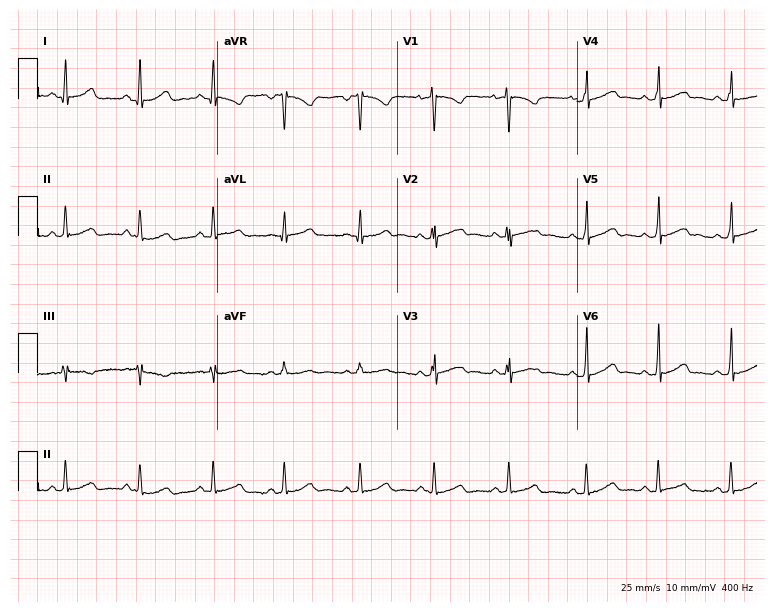
Resting 12-lead electrocardiogram (7.3-second recording at 400 Hz). Patient: a 20-year-old woman. Read as a normal ECG.